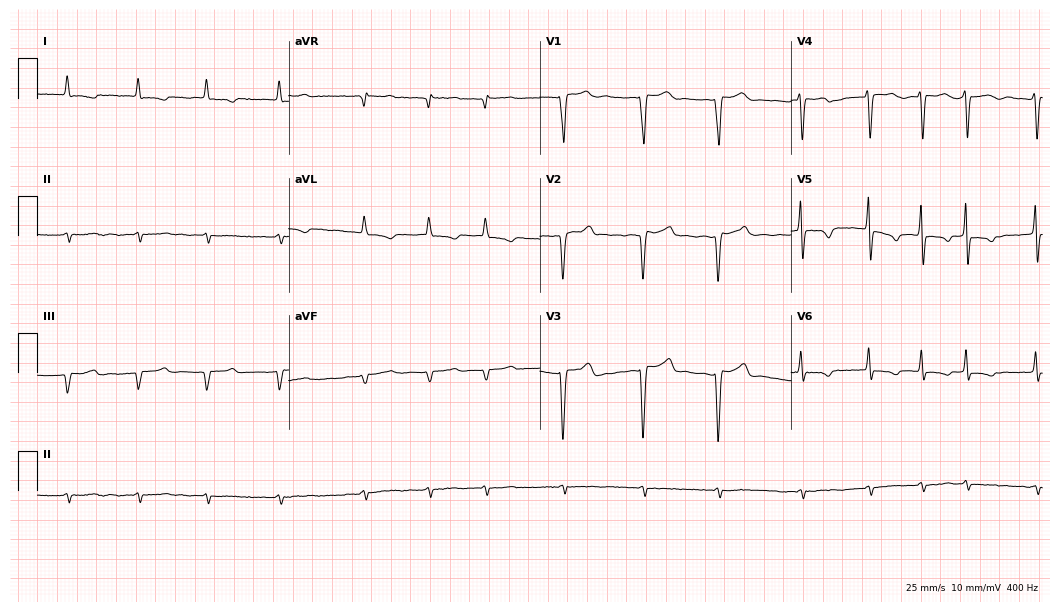
12-lead ECG from a 79-year-old woman. No first-degree AV block, right bundle branch block, left bundle branch block, sinus bradycardia, atrial fibrillation or sinus tachycardia recorded for this tracing. Other findings, if any, are not listed.